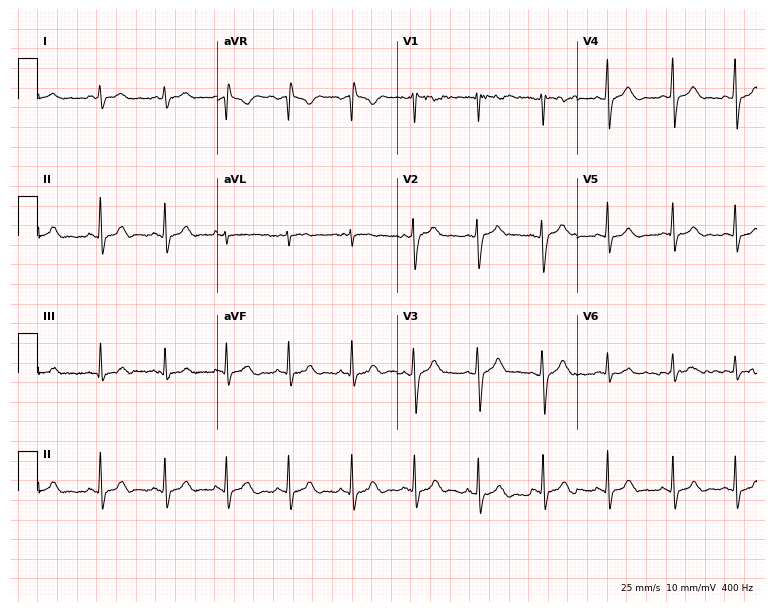
12-lead ECG (7.3-second recording at 400 Hz) from a man, 23 years old. Labelled as a normal ECG.